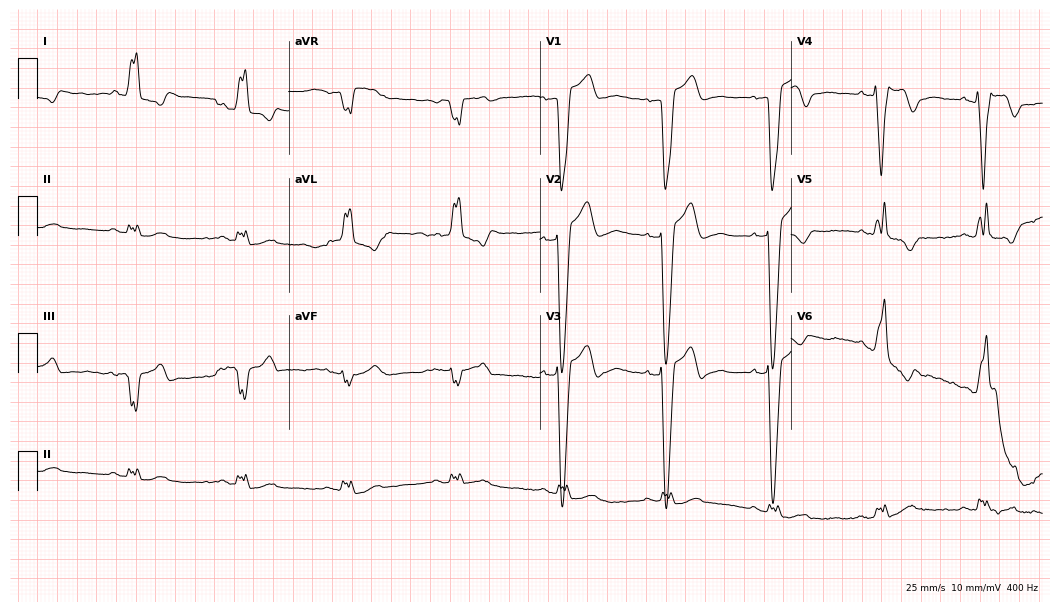
Resting 12-lead electrocardiogram (10.2-second recording at 400 Hz). Patient: a man, 54 years old. The tracing shows left bundle branch block.